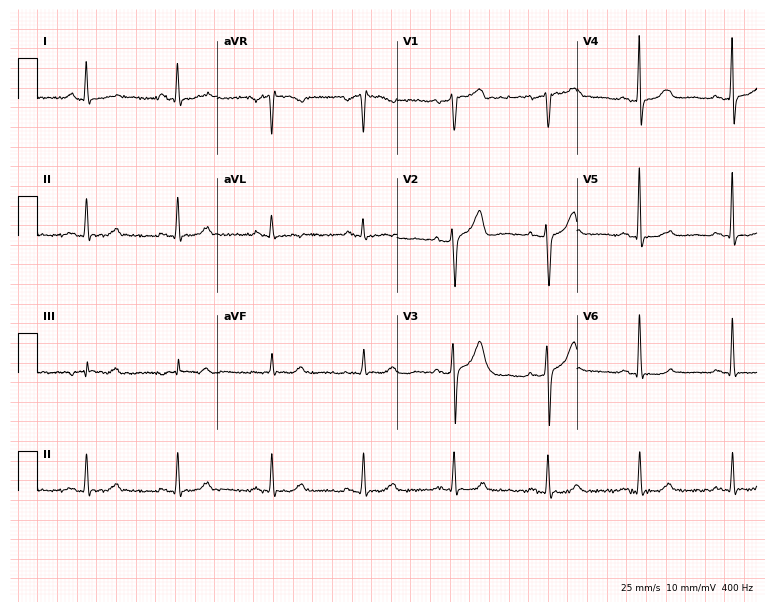
ECG — a 57-year-old female. Screened for six findings — first-degree AV block, right bundle branch block, left bundle branch block, sinus bradycardia, atrial fibrillation, sinus tachycardia — none is recorded.